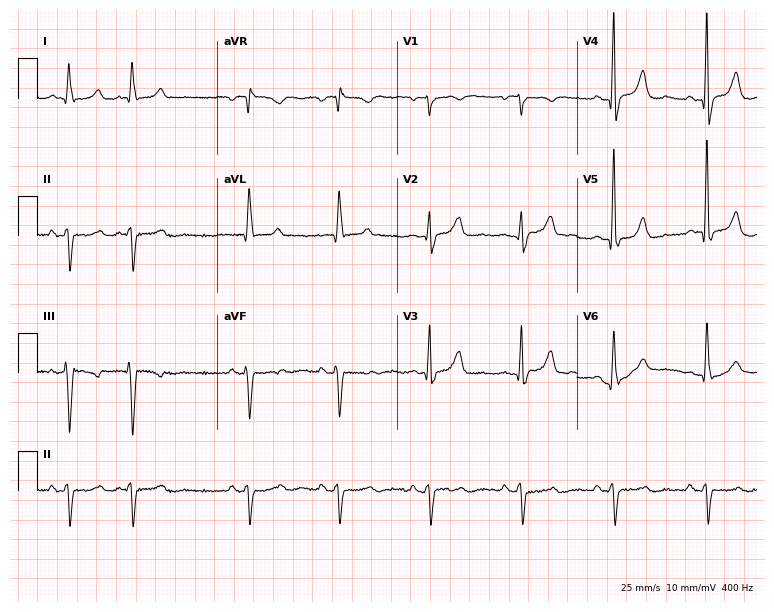
12-lead ECG (7.3-second recording at 400 Hz) from a male patient, 70 years old. Screened for six findings — first-degree AV block, right bundle branch block, left bundle branch block, sinus bradycardia, atrial fibrillation, sinus tachycardia — none is recorded.